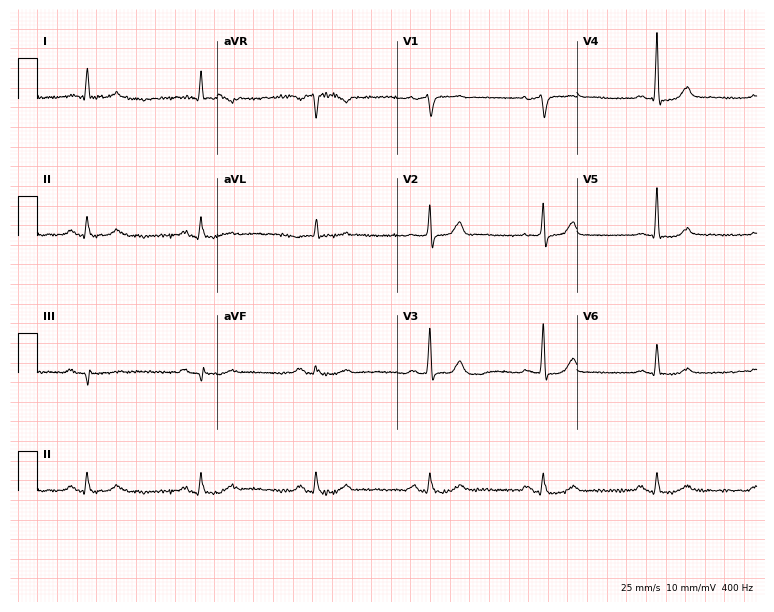
Standard 12-lead ECG recorded from a 78-year-old male patient (7.3-second recording at 400 Hz). Read as a normal ECG.